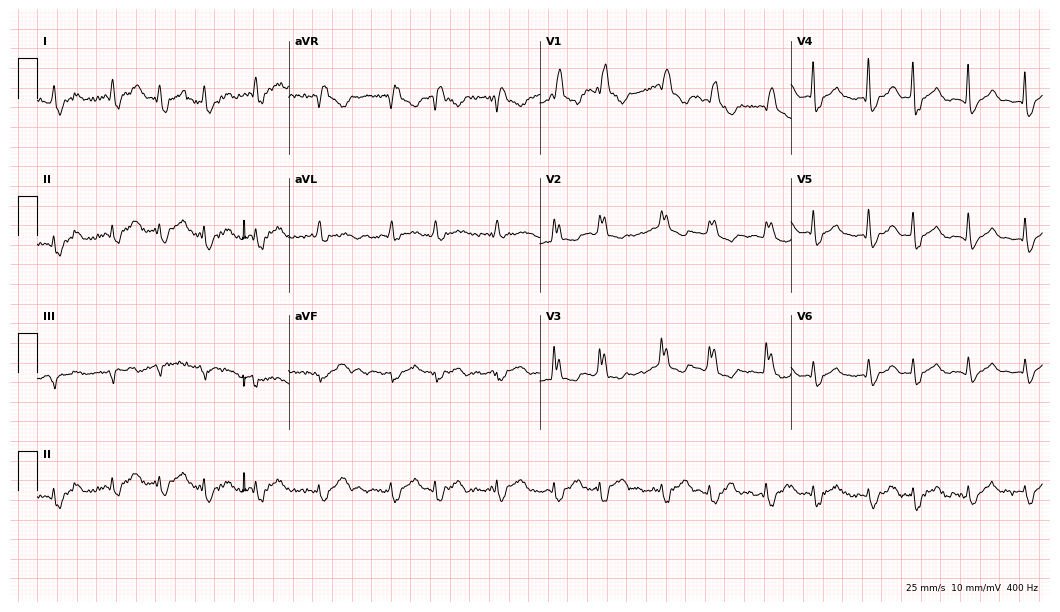
Standard 12-lead ECG recorded from a female patient, 82 years old (10.2-second recording at 400 Hz). The tracing shows right bundle branch block, atrial fibrillation, sinus tachycardia (a sinus rate of 100 beats per minute or more).